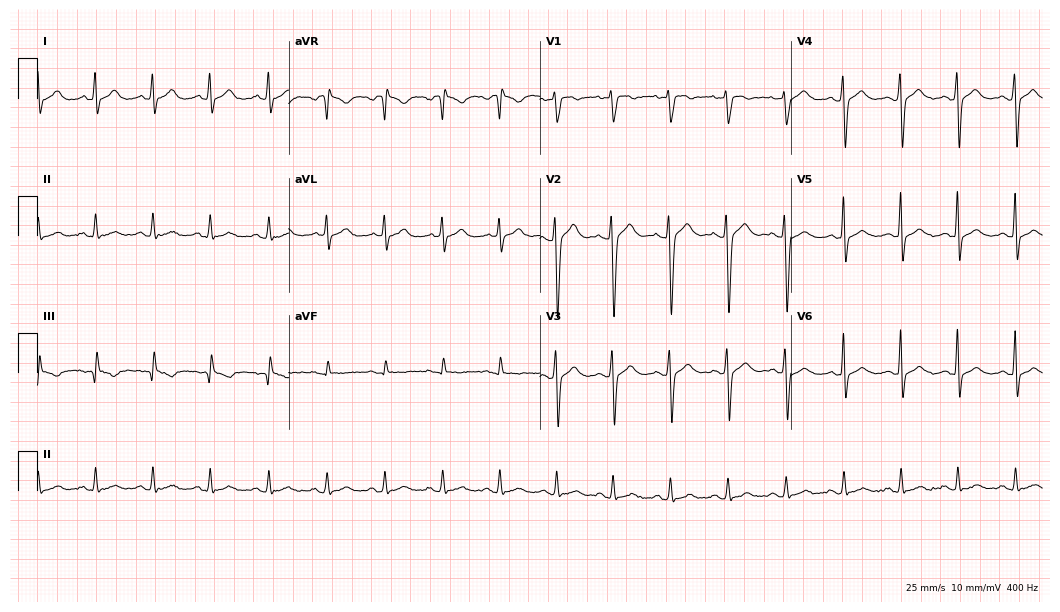
ECG — a 38-year-old male. Labelled as a normal ECG.